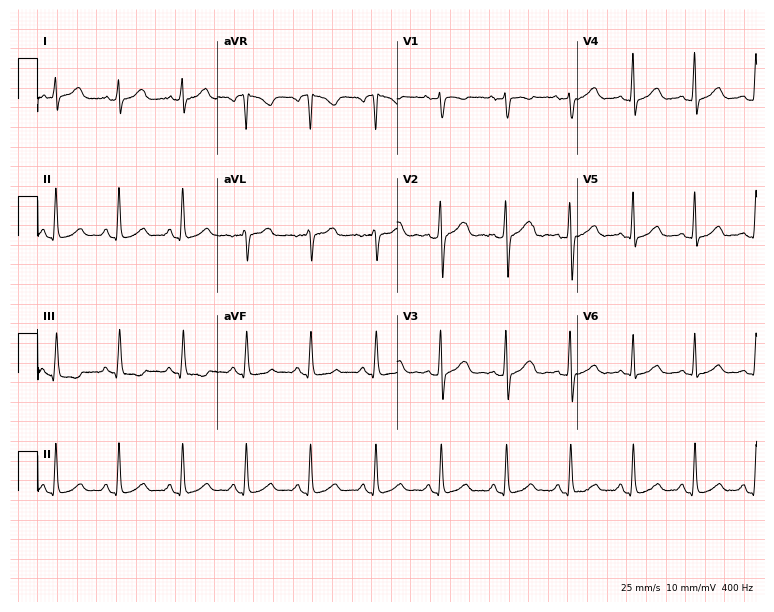
Resting 12-lead electrocardiogram (7.3-second recording at 400 Hz). Patient: a woman, 40 years old. Read as a normal ECG.